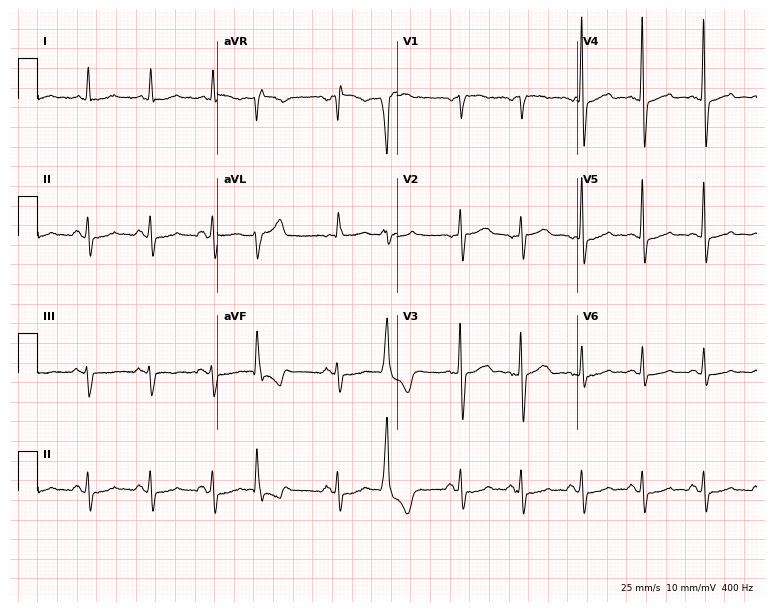
ECG — a man, 72 years old. Screened for six findings — first-degree AV block, right bundle branch block, left bundle branch block, sinus bradycardia, atrial fibrillation, sinus tachycardia — none is recorded. Other findings, if any, are not listed.